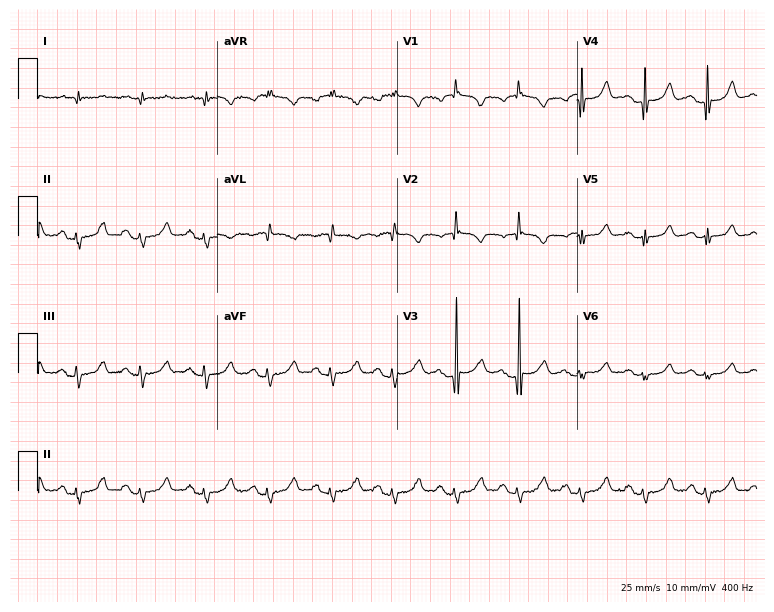
Resting 12-lead electrocardiogram. Patient: a 78-year-old male. Read as a normal ECG.